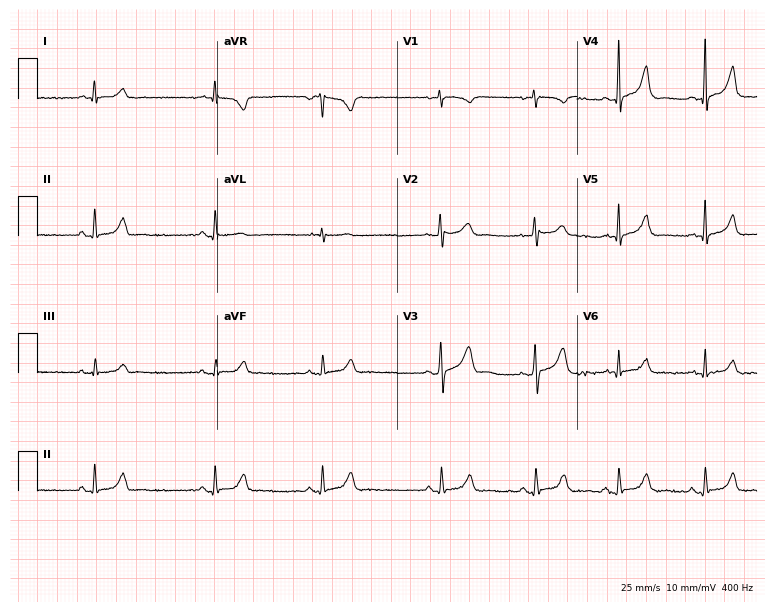
12-lead ECG from a woman, 27 years old. Labelled as a normal ECG.